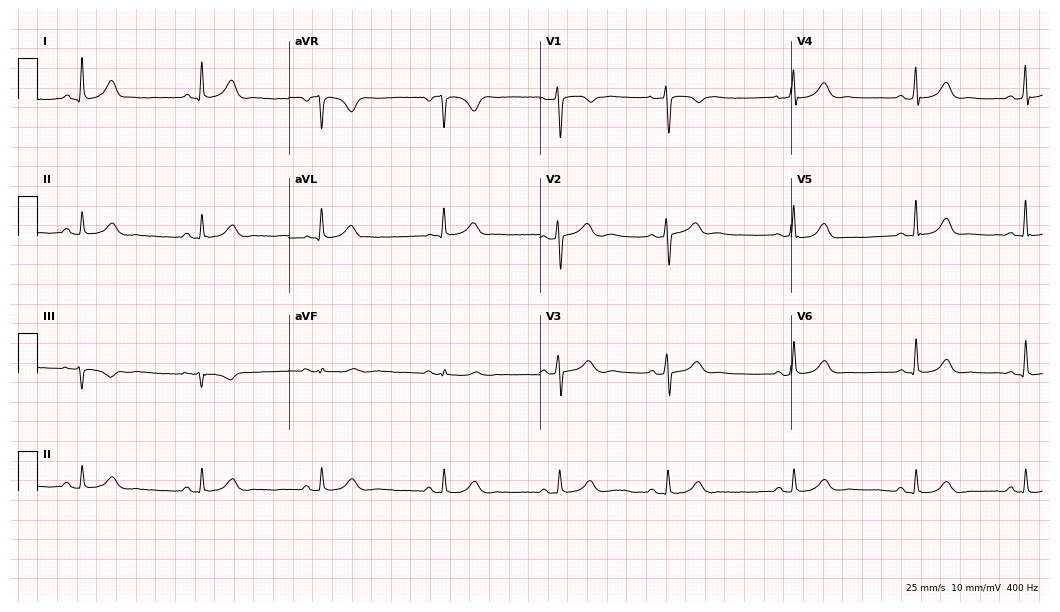
Resting 12-lead electrocardiogram (10.2-second recording at 400 Hz). Patient: a 40-year-old female. Read as a normal ECG.